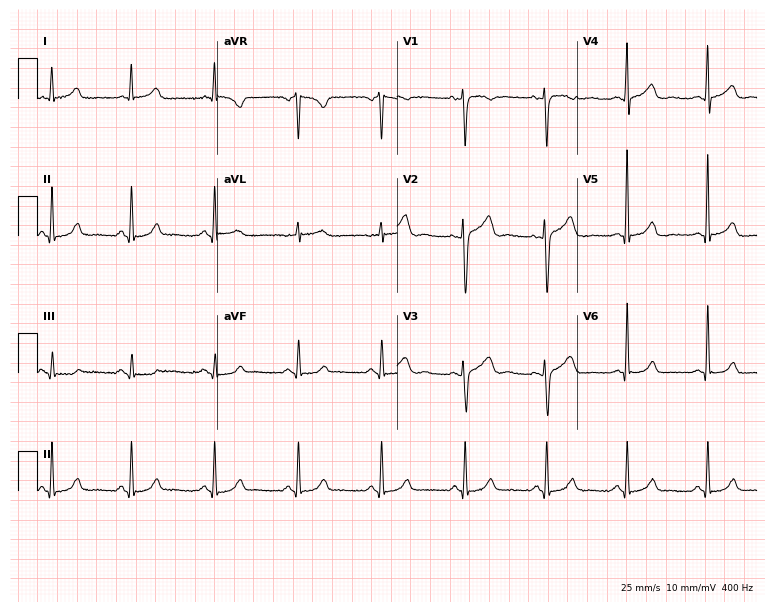
Standard 12-lead ECG recorded from a female patient, 51 years old (7.3-second recording at 400 Hz). None of these six findings is recorded: first-degree AV block, right bundle branch block (RBBB), left bundle branch block (LBBB), sinus bradycardia, atrial fibrillation (AF), sinus tachycardia.